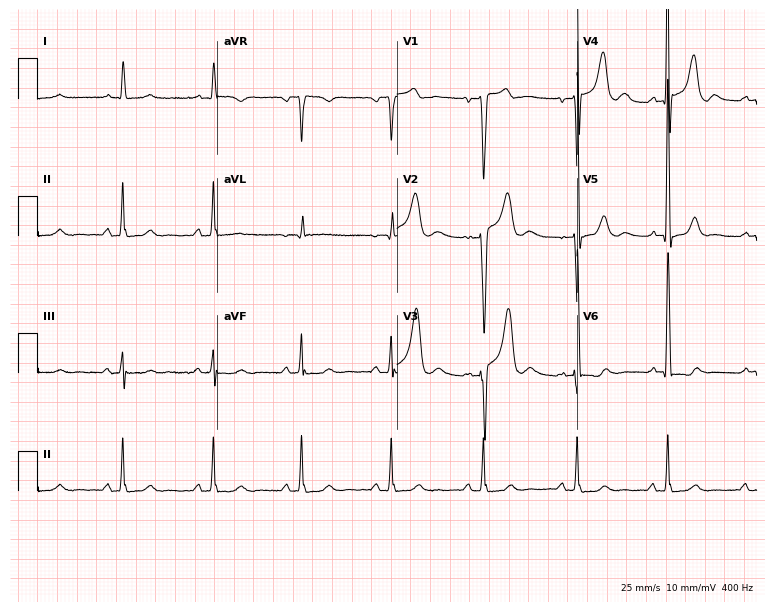
Electrocardiogram, a male patient, 57 years old. Of the six screened findings (first-degree AV block, right bundle branch block (RBBB), left bundle branch block (LBBB), sinus bradycardia, atrial fibrillation (AF), sinus tachycardia), none is recorded.